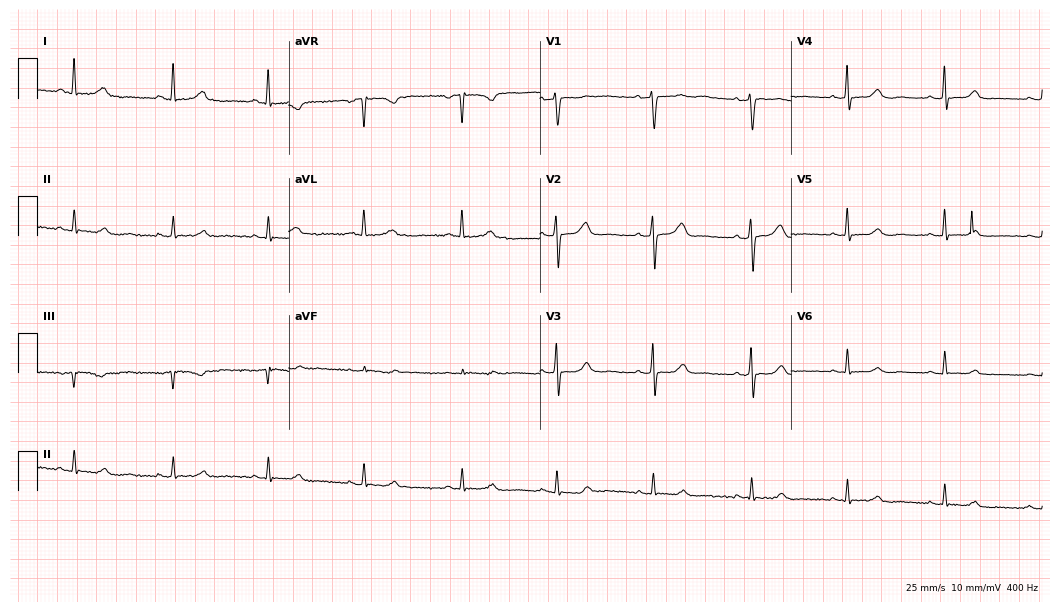
12-lead ECG (10.2-second recording at 400 Hz) from a 57-year-old female. Labelled as a normal ECG.